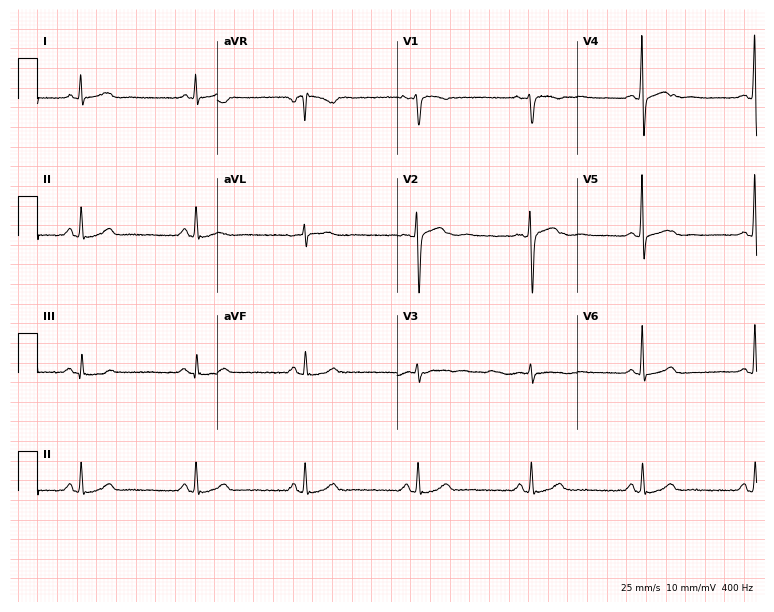
12-lead ECG (7.3-second recording at 400 Hz) from a female, 45 years old. Labelled as a normal ECG.